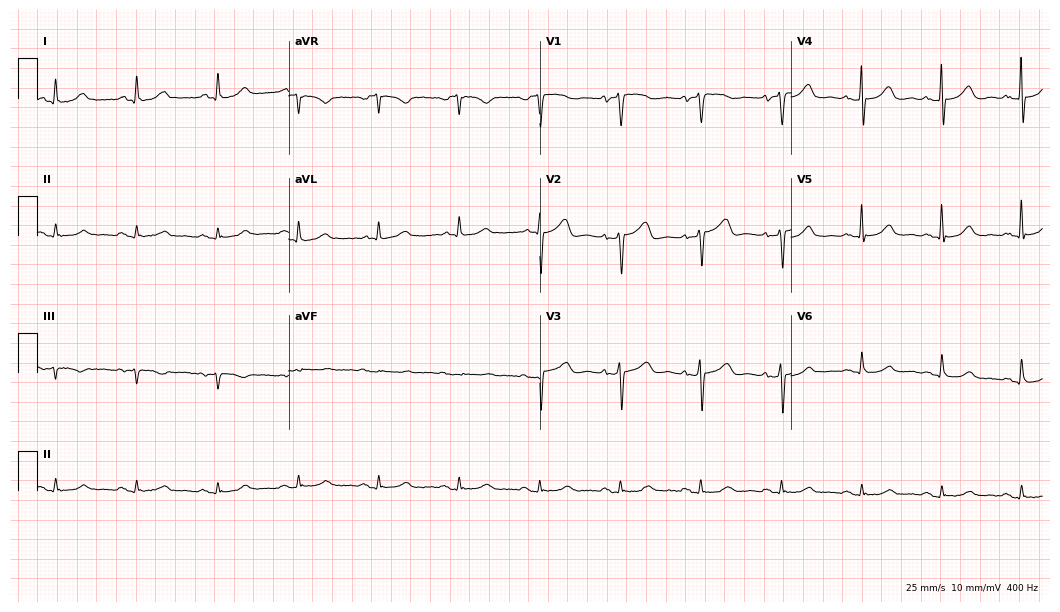
Standard 12-lead ECG recorded from a 73-year-old female patient. Read as a normal ECG.